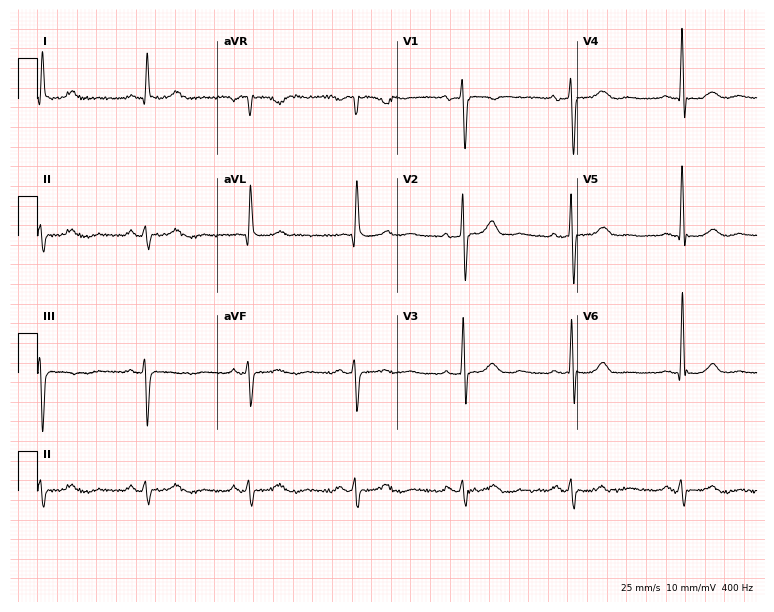
12-lead ECG from a 75-year-old male patient (7.3-second recording at 400 Hz). No first-degree AV block, right bundle branch block, left bundle branch block, sinus bradycardia, atrial fibrillation or sinus tachycardia recorded for this tracing. Findings outside these six are not listed.